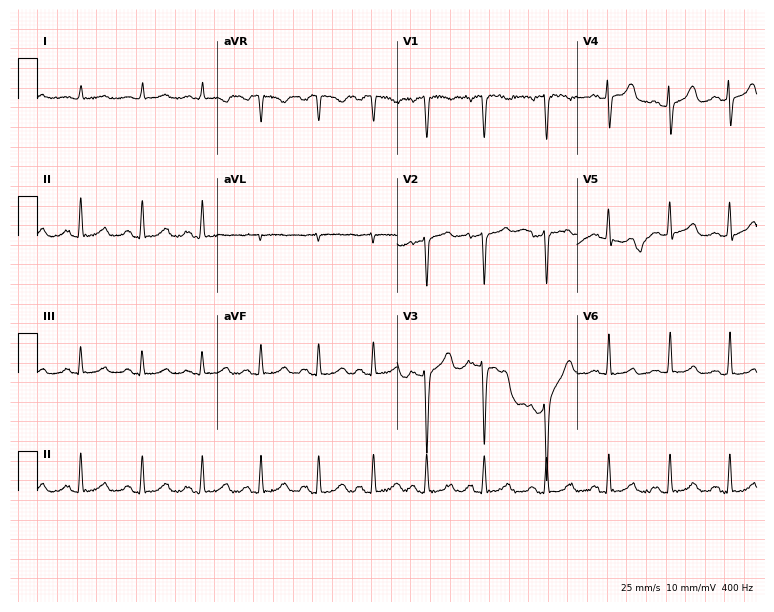
12-lead ECG (7.3-second recording at 400 Hz) from a 50-year-old female patient. Screened for six findings — first-degree AV block, right bundle branch block (RBBB), left bundle branch block (LBBB), sinus bradycardia, atrial fibrillation (AF), sinus tachycardia — none is recorded. Other findings, if any, are not listed.